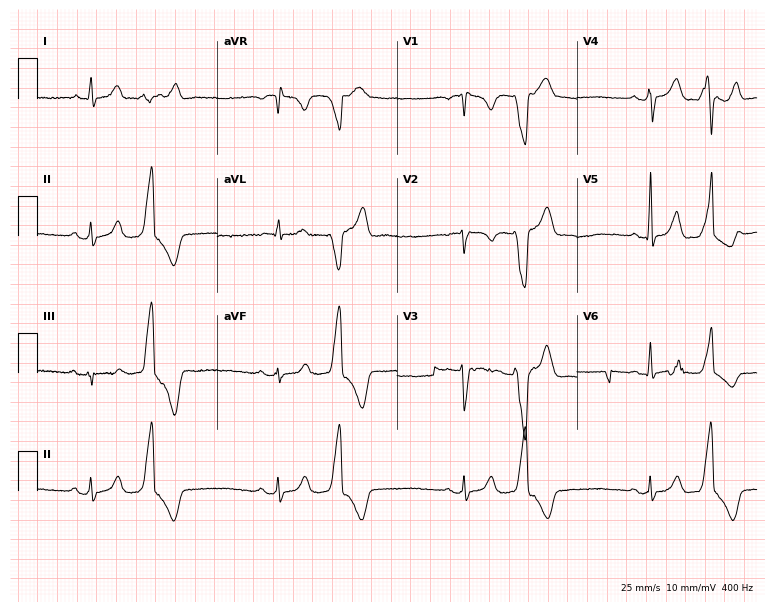
12-lead ECG (7.3-second recording at 400 Hz) from a female, 23 years old. Screened for six findings — first-degree AV block, right bundle branch block, left bundle branch block, sinus bradycardia, atrial fibrillation, sinus tachycardia — none is recorded. Findings outside these six are not listed.